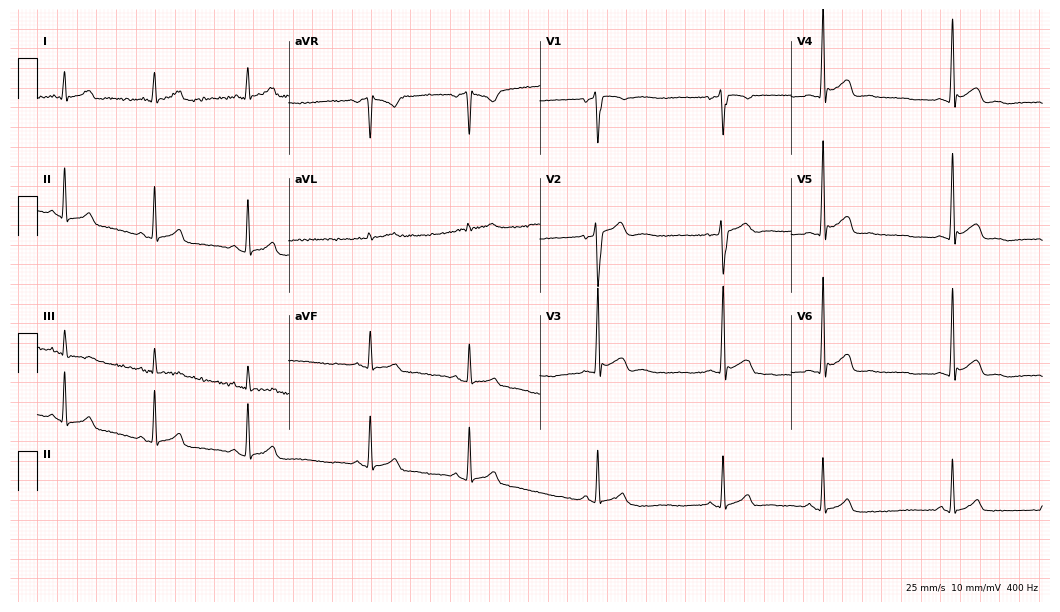
Resting 12-lead electrocardiogram (10.2-second recording at 400 Hz). Patient: a 22-year-old male. Read as a normal ECG.